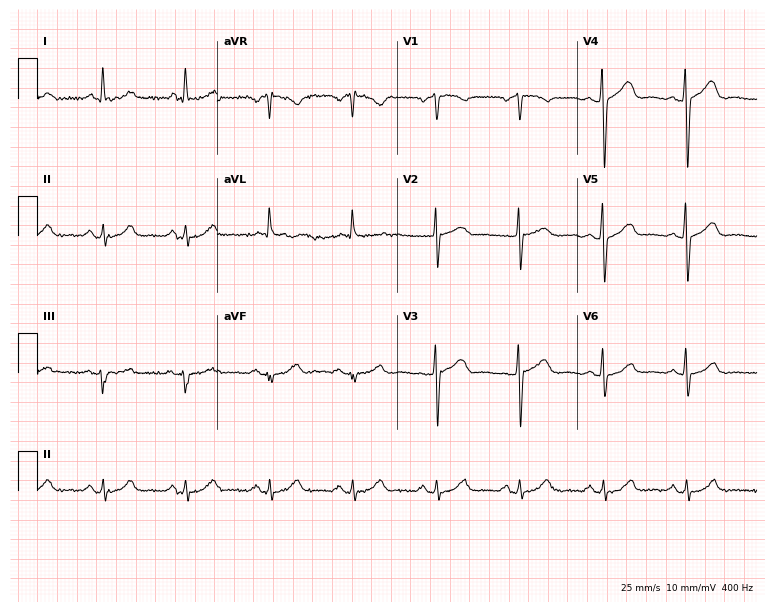
Resting 12-lead electrocardiogram (7.3-second recording at 400 Hz). Patient: a 58-year-old male. Read as a normal ECG.